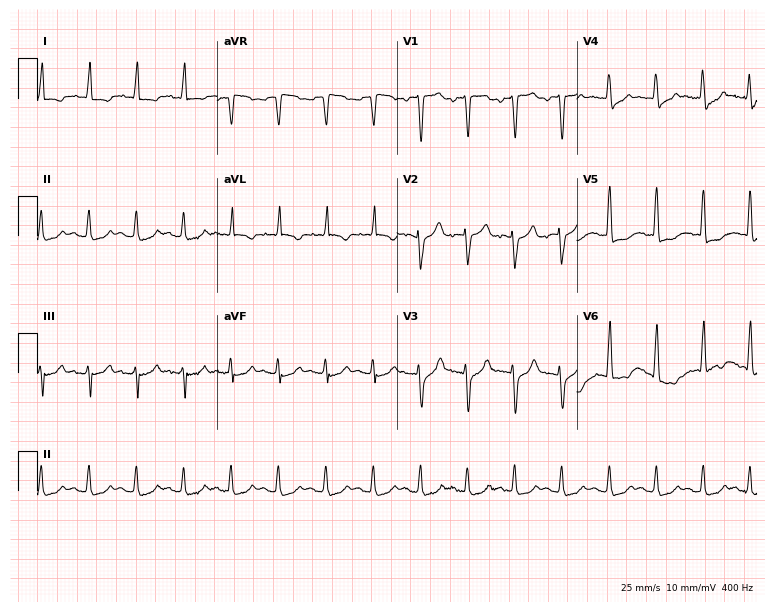
12-lead ECG from a 72-year-old female (7.3-second recording at 400 Hz). No first-degree AV block, right bundle branch block (RBBB), left bundle branch block (LBBB), sinus bradycardia, atrial fibrillation (AF) or sinus tachycardia recorded for this tracing. Findings outside these six are not listed.